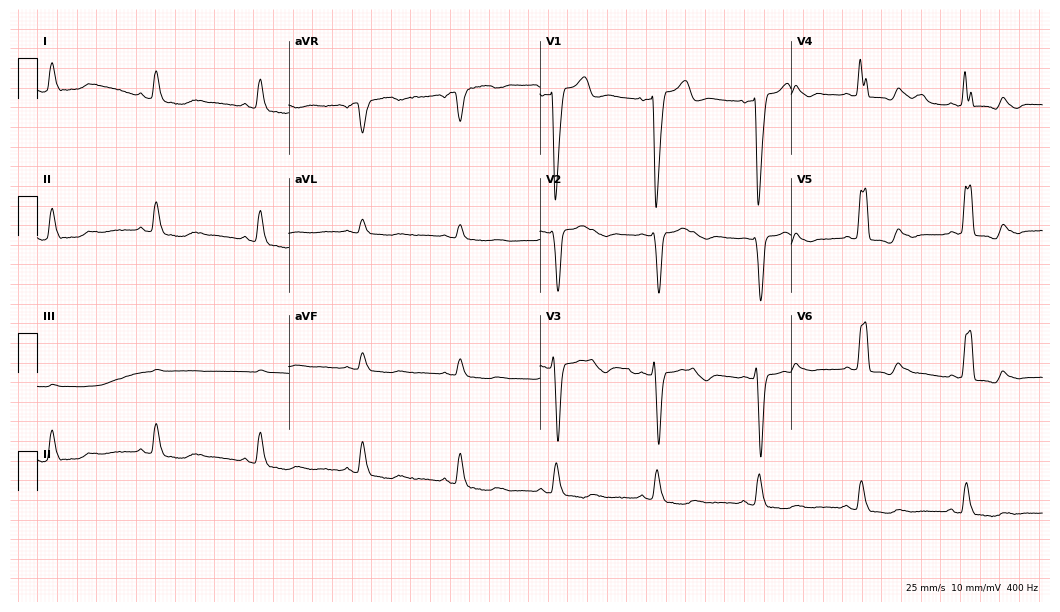
12-lead ECG from a man, 68 years old. Shows left bundle branch block.